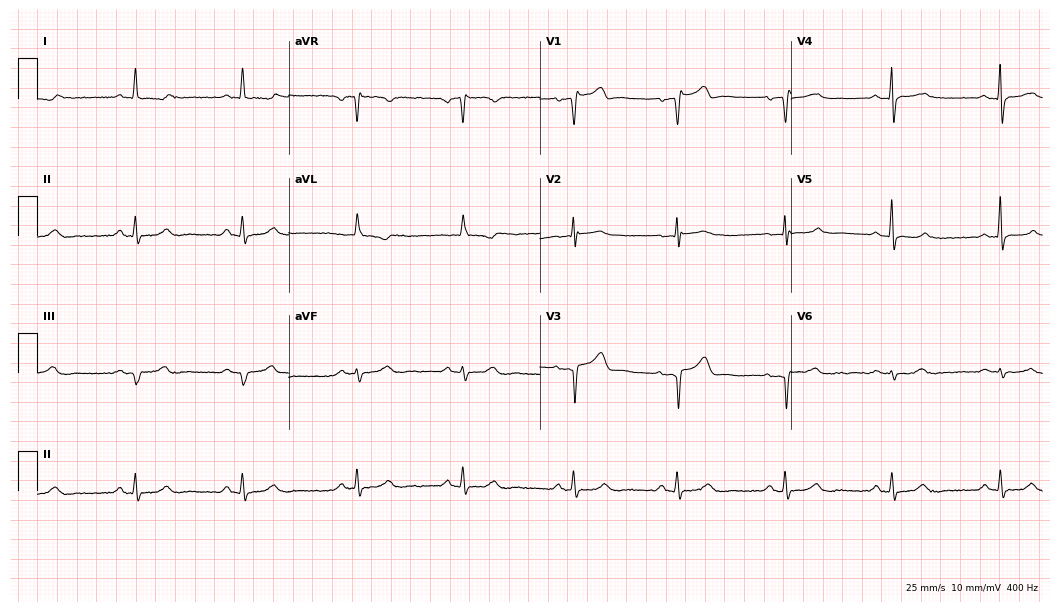
12-lead ECG from a male patient, 56 years old (10.2-second recording at 400 Hz). Recorded interpretation: within normal limits.